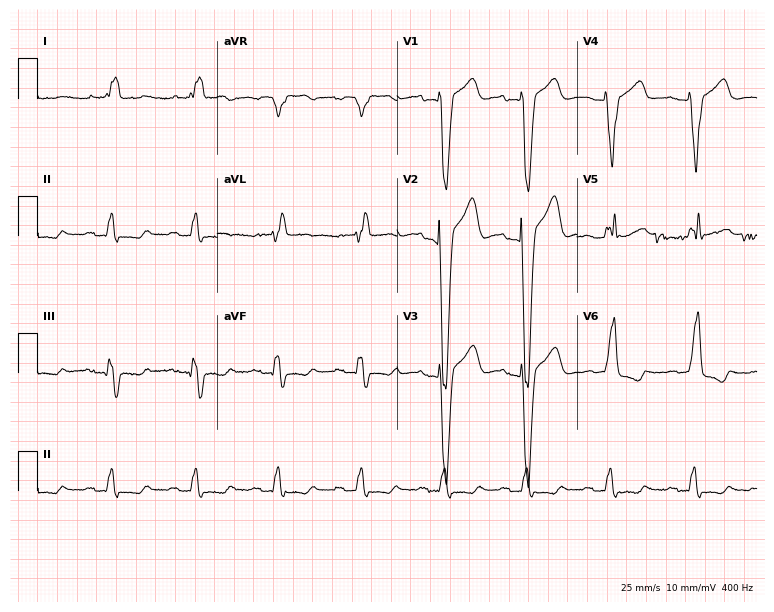
12-lead ECG from a woman, 84 years old (7.3-second recording at 400 Hz). Shows left bundle branch block.